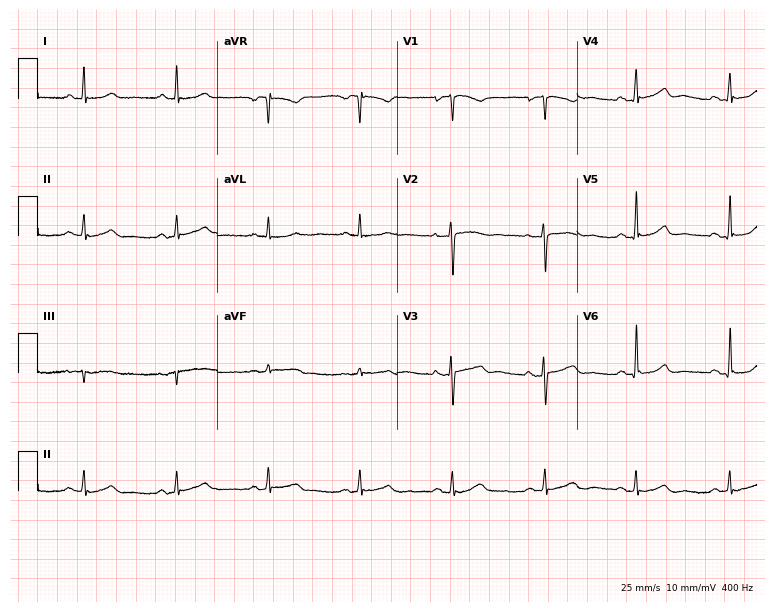
Resting 12-lead electrocardiogram. Patient: a female, 64 years old. Read as a normal ECG.